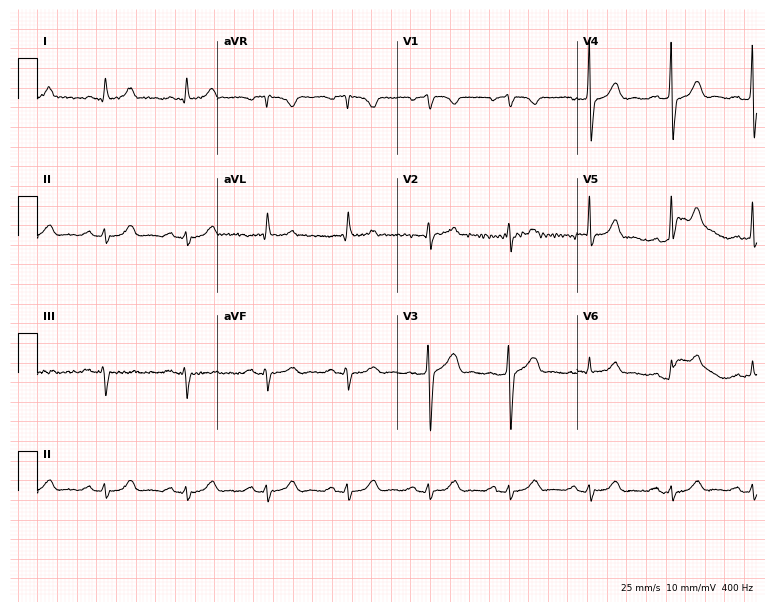
12-lead ECG (7.3-second recording at 400 Hz) from a male, 59 years old. Screened for six findings — first-degree AV block, right bundle branch block, left bundle branch block, sinus bradycardia, atrial fibrillation, sinus tachycardia — none is recorded.